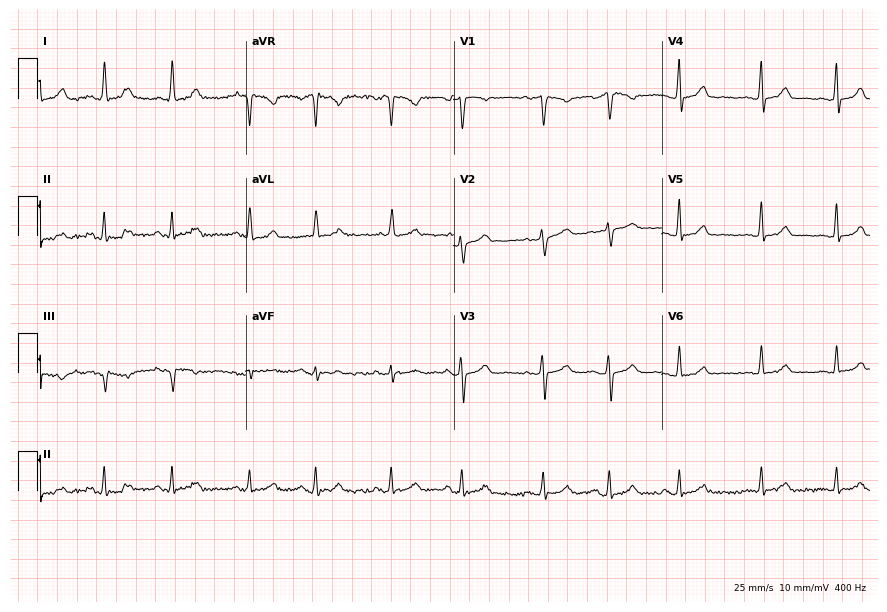
12-lead ECG from a woman, 42 years old. Recorded interpretation: within normal limits.